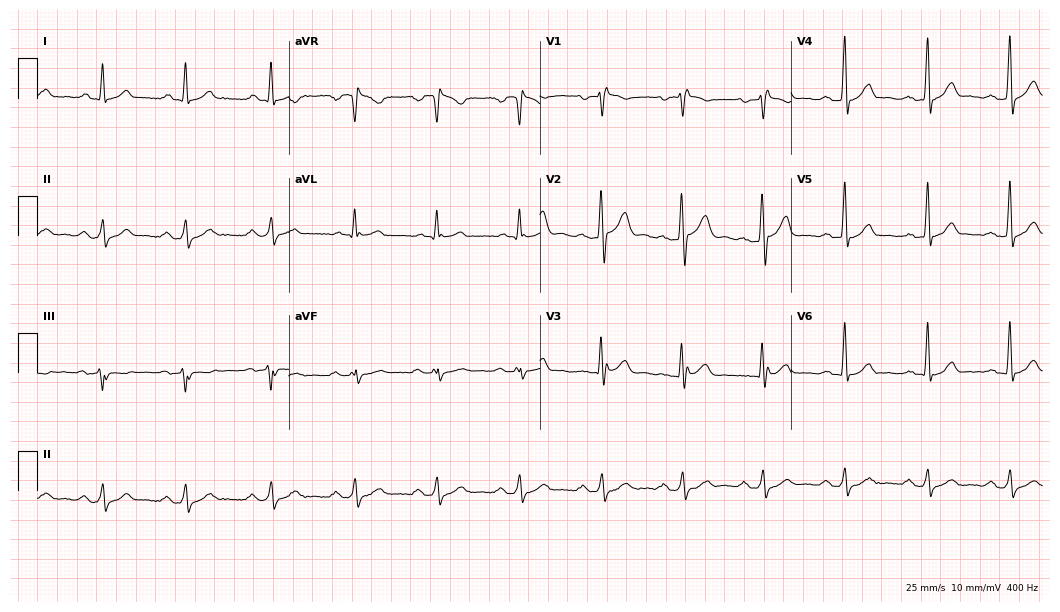
12-lead ECG from a 45-year-old male (10.2-second recording at 400 Hz). Shows right bundle branch block.